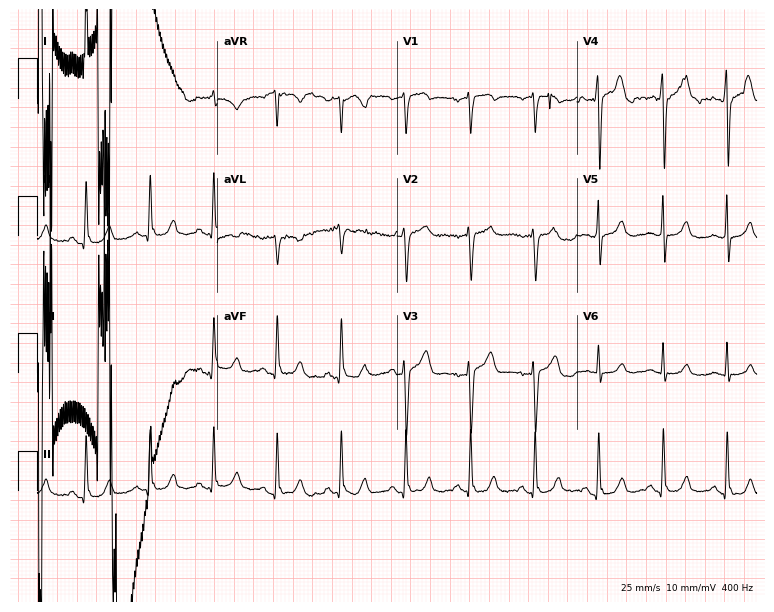
12-lead ECG from a man, 61 years old (7.3-second recording at 400 Hz). No first-degree AV block, right bundle branch block, left bundle branch block, sinus bradycardia, atrial fibrillation or sinus tachycardia recorded for this tracing.